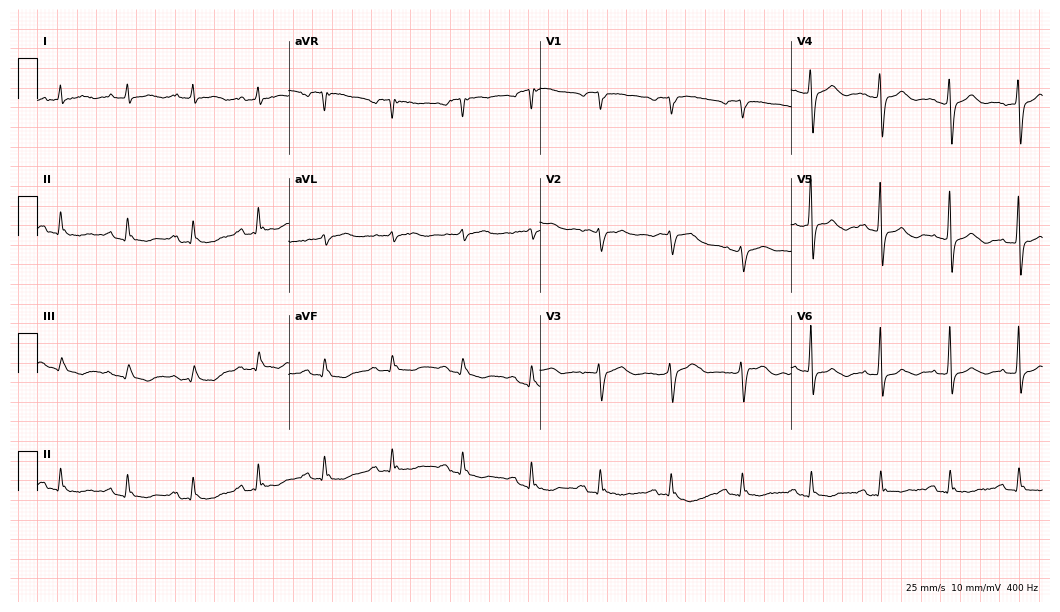
ECG (10.2-second recording at 400 Hz) — an 81-year-old man. Screened for six findings — first-degree AV block, right bundle branch block (RBBB), left bundle branch block (LBBB), sinus bradycardia, atrial fibrillation (AF), sinus tachycardia — none is recorded. Findings outside these six are not listed.